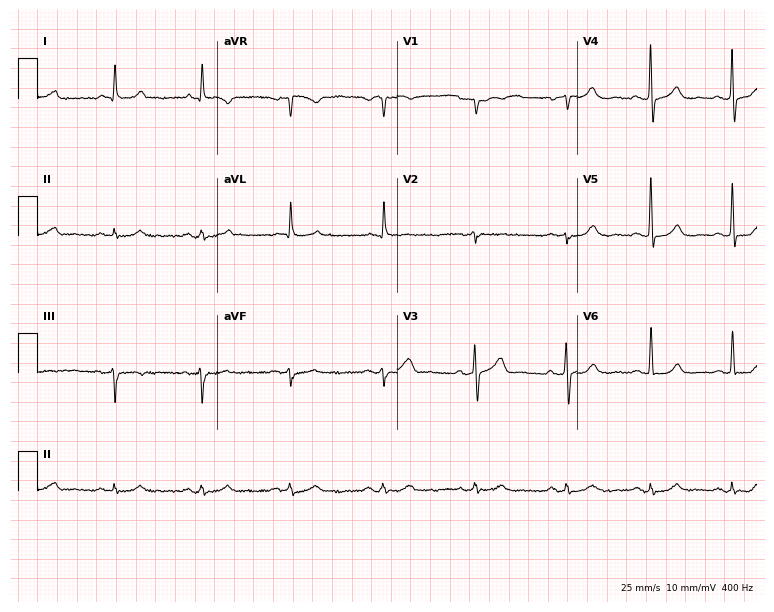
Resting 12-lead electrocardiogram. Patient: a male, 69 years old. None of these six findings is recorded: first-degree AV block, right bundle branch block, left bundle branch block, sinus bradycardia, atrial fibrillation, sinus tachycardia.